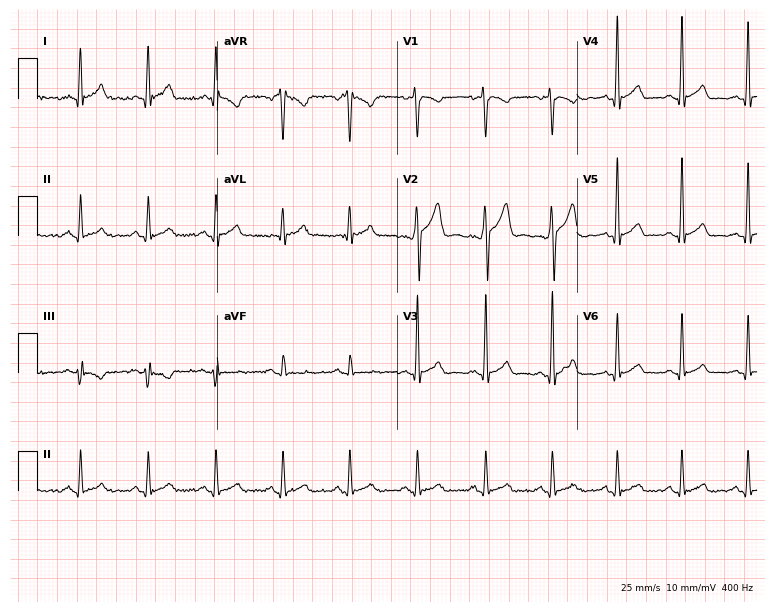
Standard 12-lead ECG recorded from a 27-year-old male patient (7.3-second recording at 400 Hz). Read as a normal ECG.